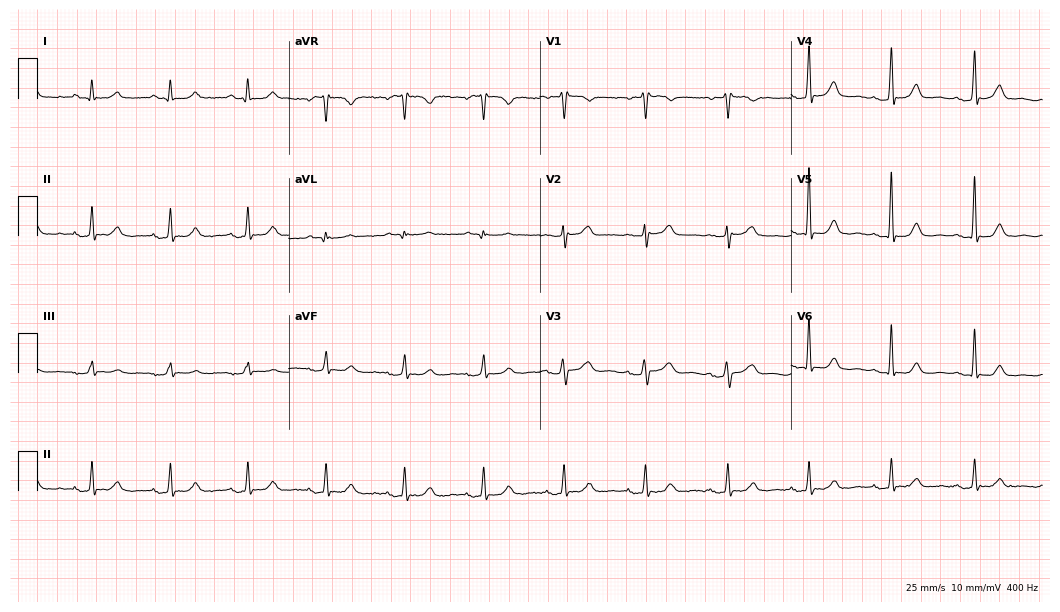
12-lead ECG from a 70-year-old woman. Recorded interpretation: within normal limits.